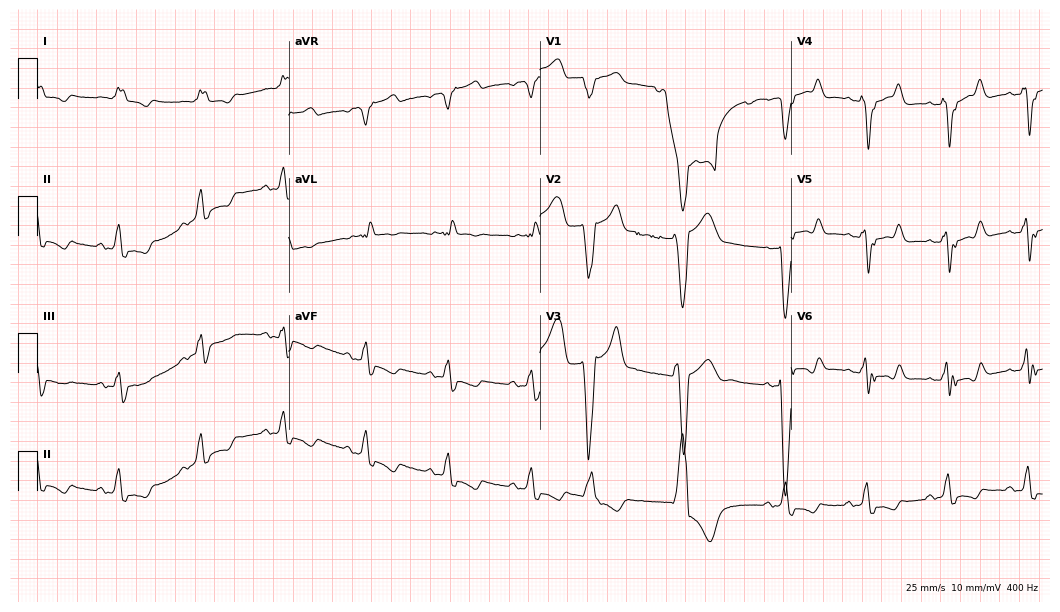
Electrocardiogram (10.2-second recording at 400 Hz), an 82-year-old man. Interpretation includes left bundle branch block.